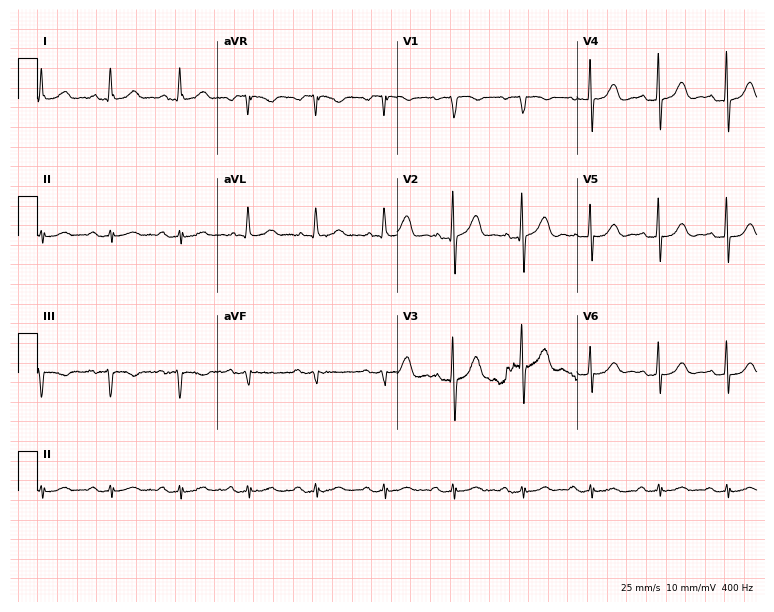
ECG (7.3-second recording at 400 Hz) — a woman, 81 years old. Screened for six findings — first-degree AV block, right bundle branch block (RBBB), left bundle branch block (LBBB), sinus bradycardia, atrial fibrillation (AF), sinus tachycardia — none is recorded. Other findings, if any, are not listed.